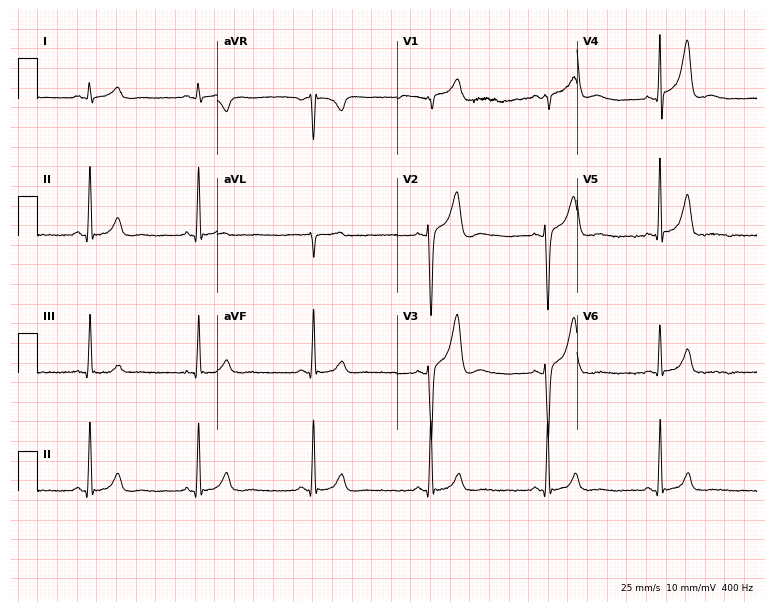
12-lead ECG from a male patient, 36 years old (7.3-second recording at 400 Hz). Recorded interpretation: within normal limits.